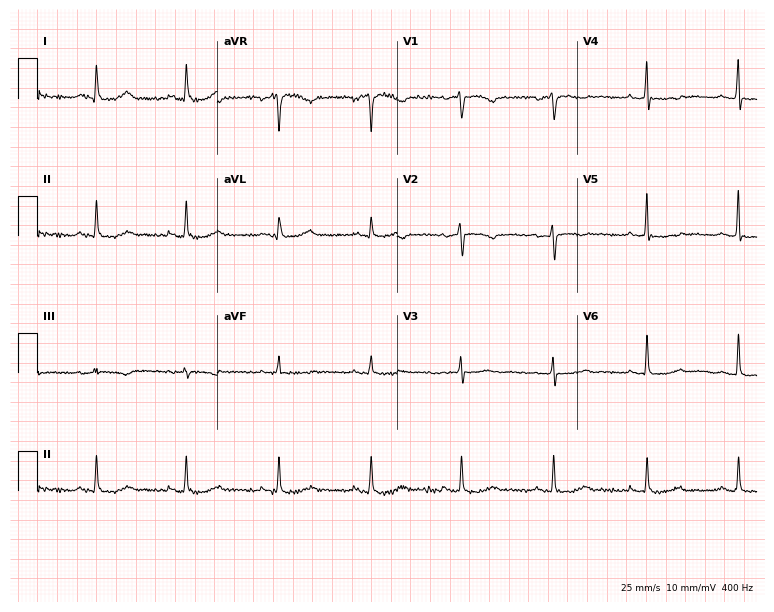
Resting 12-lead electrocardiogram (7.3-second recording at 400 Hz). Patient: a woman, 68 years old. None of these six findings is recorded: first-degree AV block, right bundle branch block, left bundle branch block, sinus bradycardia, atrial fibrillation, sinus tachycardia.